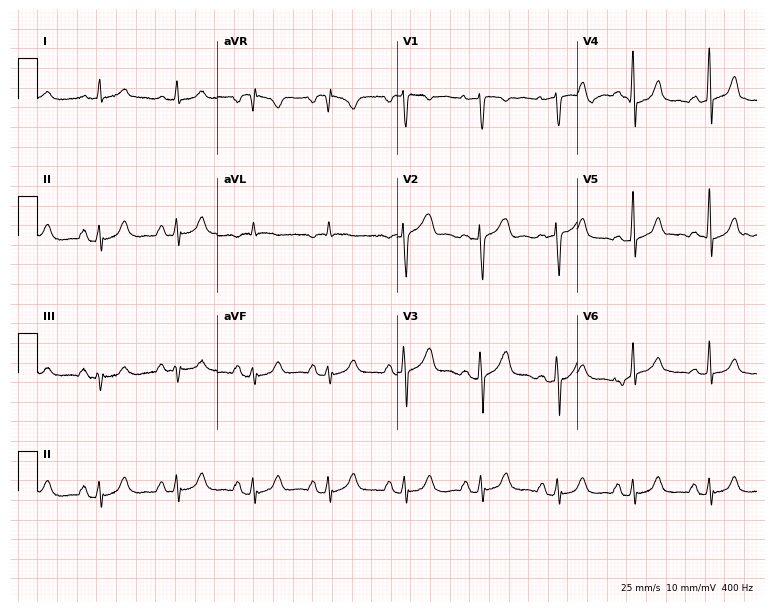
12-lead ECG from a male, 64 years old. Screened for six findings — first-degree AV block, right bundle branch block, left bundle branch block, sinus bradycardia, atrial fibrillation, sinus tachycardia — none is recorded. Findings outside these six are not listed.